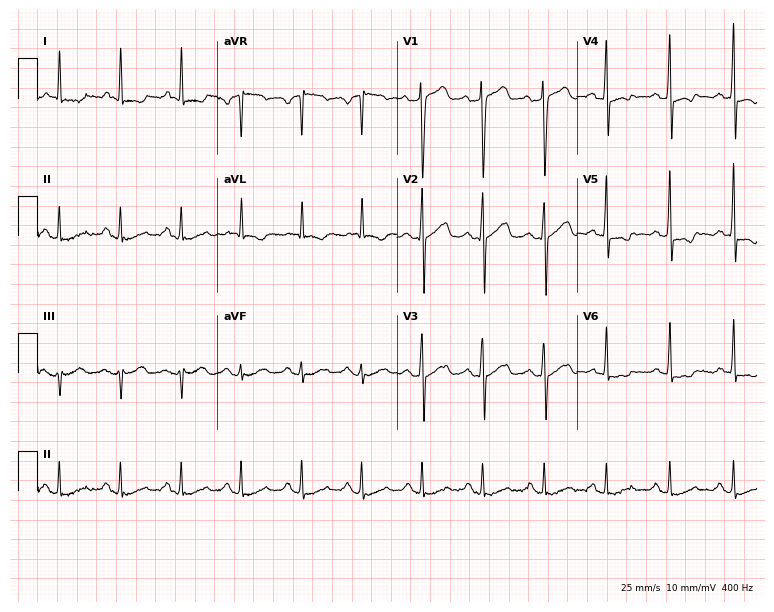
ECG — a 47-year-old male patient. Screened for six findings — first-degree AV block, right bundle branch block, left bundle branch block, sinus bradycardia, atrial fibrillation, sinus tachycardia — none is recorded.